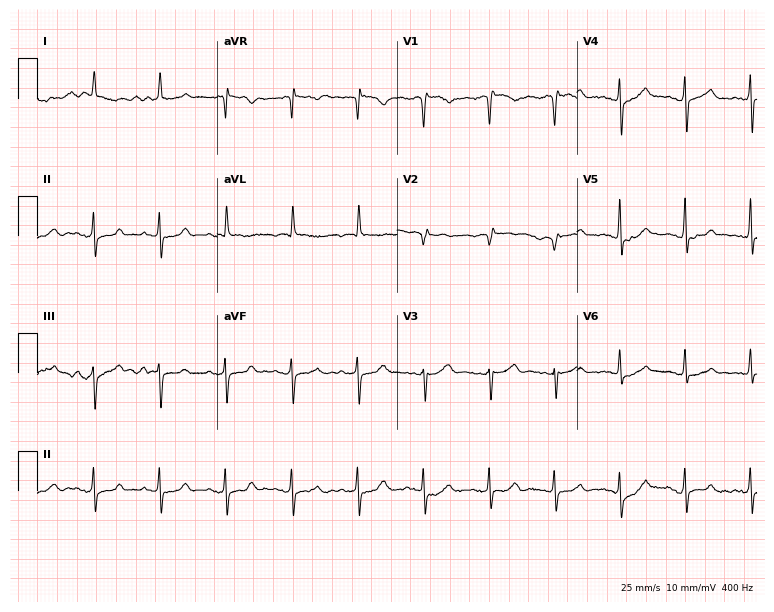
12-lead ECG from a 79-year-old female patient. Screened for six findings — first-degree AV block, right bundle branch block (RBBB), left bundle branch block (LBBB), sinus bradycardia, atrial fibrillation (AF), sinus tachycardia — none is recorded.